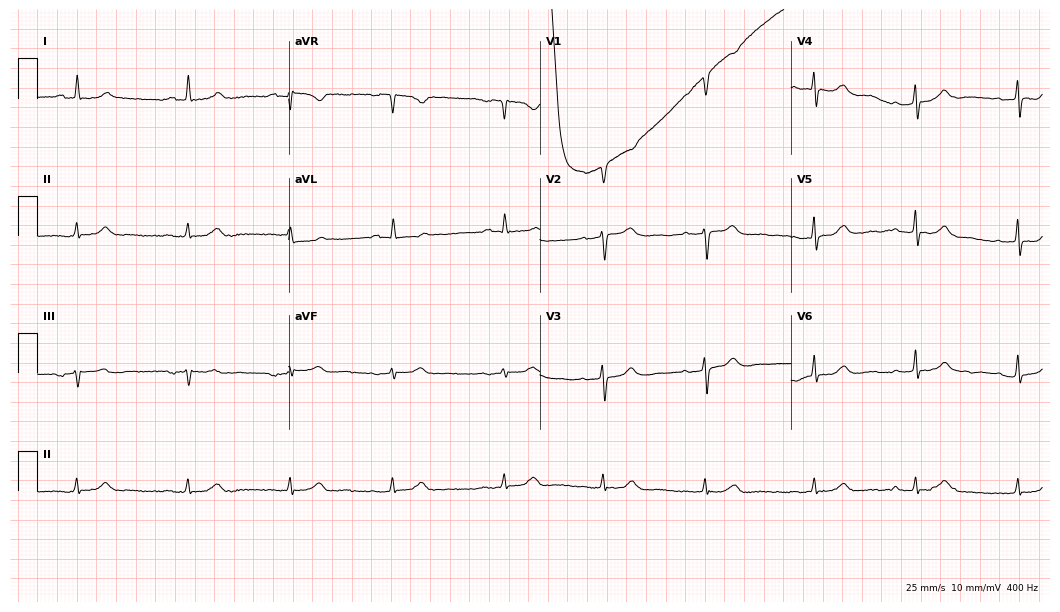
Resting 12-lead electrocardiogram. Patient: a female, 66 years old. Read as a normal ECG.